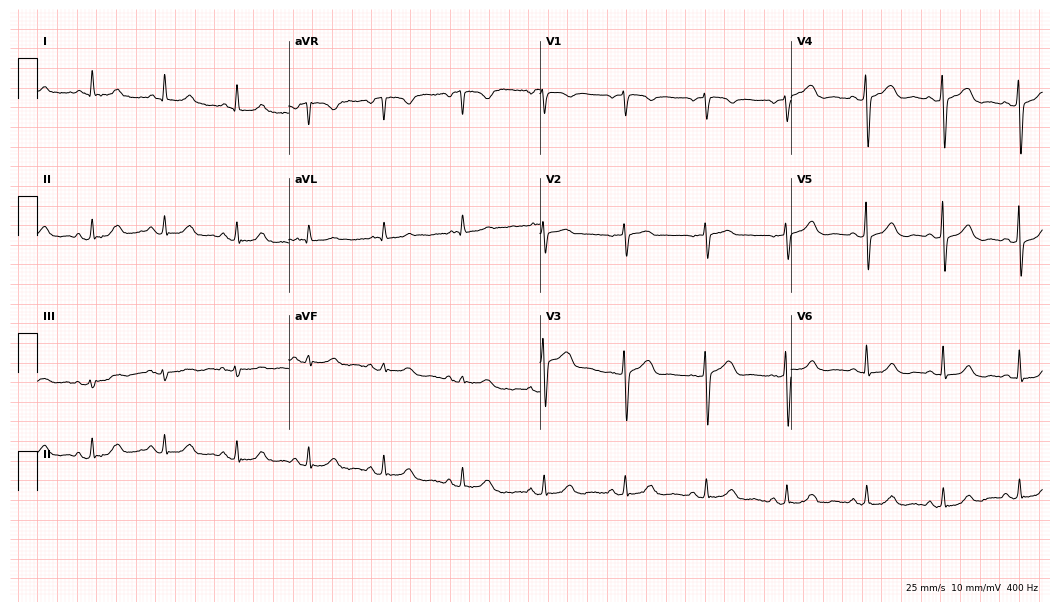
12-lead ECG from a 56-year-old female. Labelled as a normal ECG.